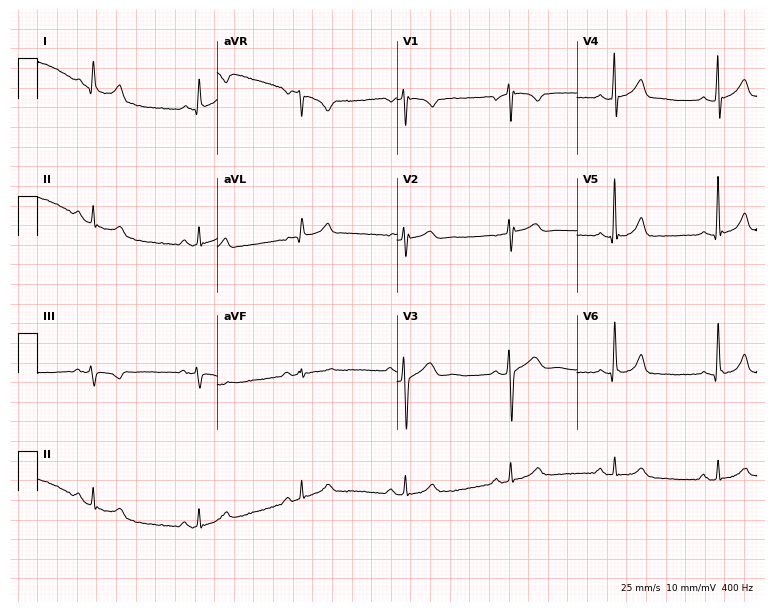
12-lead ECG from a male, 52 years old. Screened for six findings — first-degree AV block, right bundle branch block, left bundle branch block, sinus bradycardia, atrial fibrillation, sinus tachycardia — none is recorded.